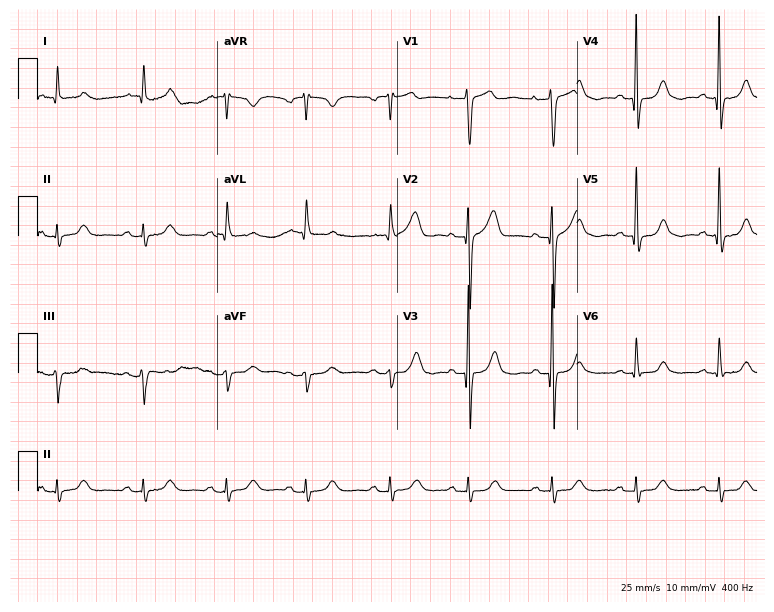
Resting 12-lead electrocardiogram. Patient: a male, 80 years old. None of these six findings is recorded: first-degree AV block, right bundle branch block, left bundle branch block, sinus bradycardia, atrial fibrillation, sinus tachycardia.